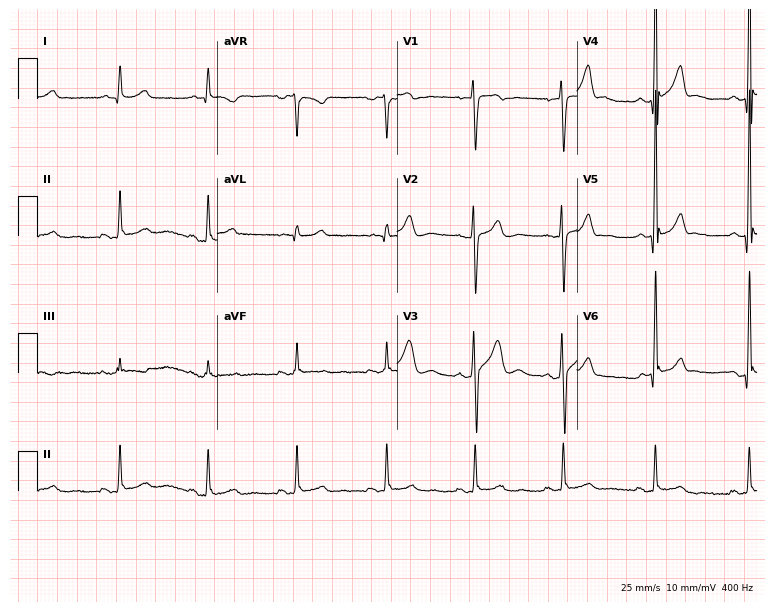
ECG — a 29-year-old male patient. Screened for six findings — first-degree AV block, right bundle branch block, left bundle branch block, sinus bradycardia, atrial fibrillation, sinus tachycardia — none is recorded. Findings outside these six are not listed.